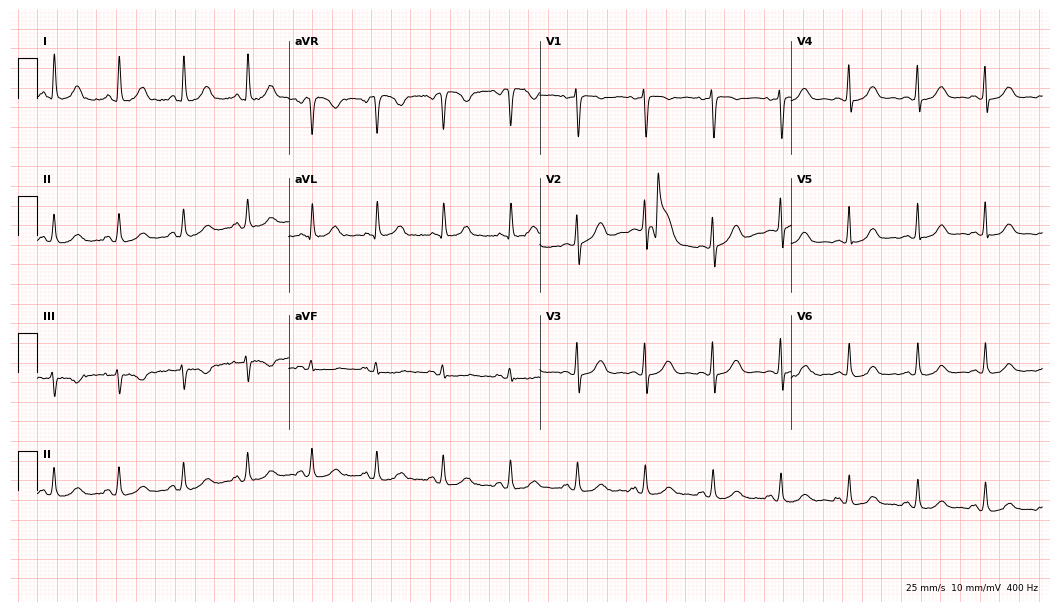
Electrocardiogram (10.2-second recording at 400 Hz), a female, 53 years old. Of the six screened findings (first-degree AV block, right bundle branch block, left bundle branch block, sinus bradycardia, atrial fibrillation, sinus tachycardia), none is recorded.